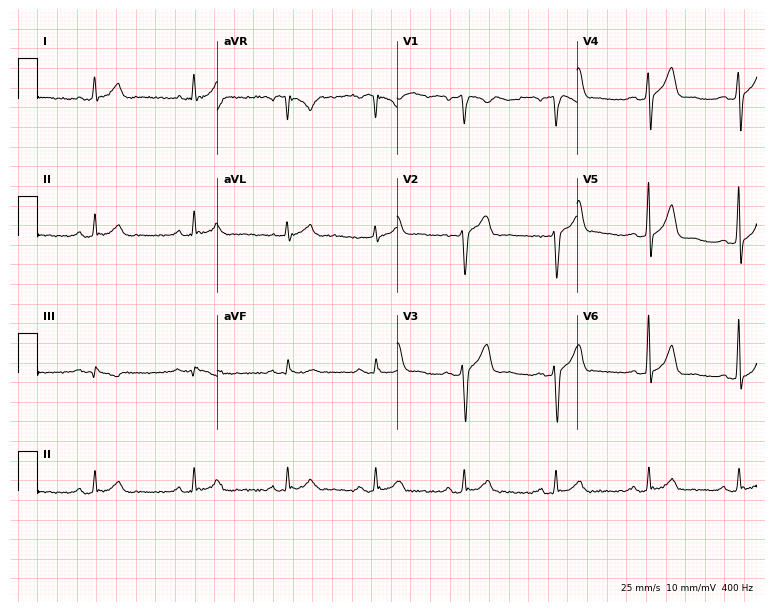
Standard 12-lead ECG recorded from a male, 56 years old. None of these six findings is recorded: first-degree AV block, right bundle branch block, left bundle branch block, sinus bradycardia, atrial fibrillation, sinus tachycardia. Only these six findings were labelled.